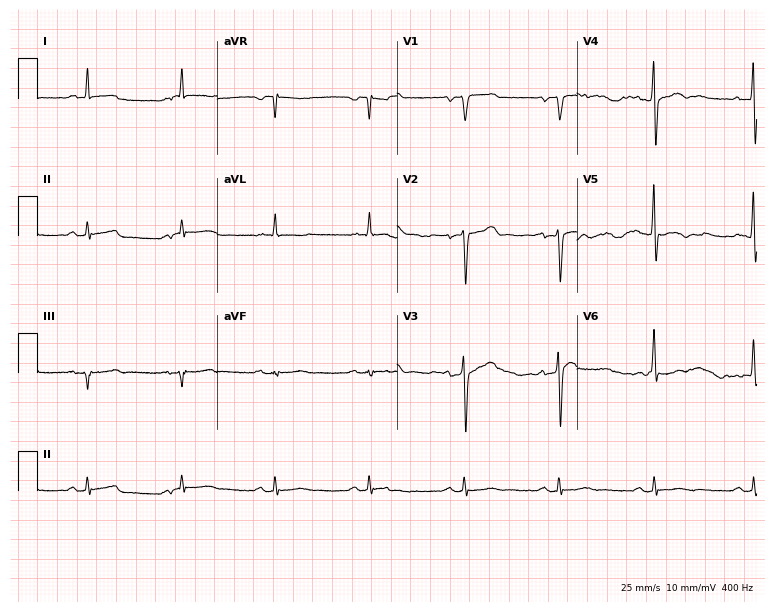
12-lead ECG from a 57-year-old female (7.3-second recording at 400 Hz). No first-degree AV block, right bundle branch block, left bundle branch block, sinus bradycardia, atrial fibrillation or sinus tachycardia recorded for this tracing. Other findings, if any, are not listed.